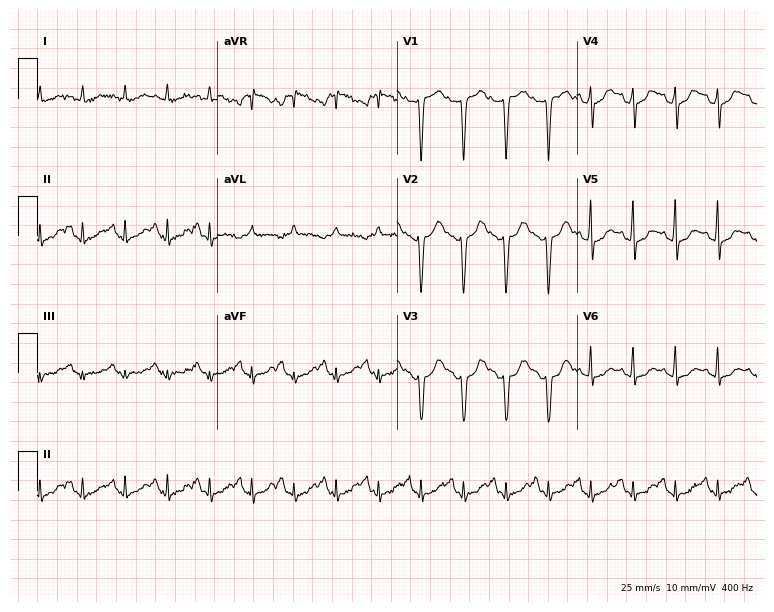
12-lead ECG (7.3-second recording at 400 Hz) from a female patient, 45 years old. Findings include sinus tachycardia (a sinus rate of 100 beats per minute or more).